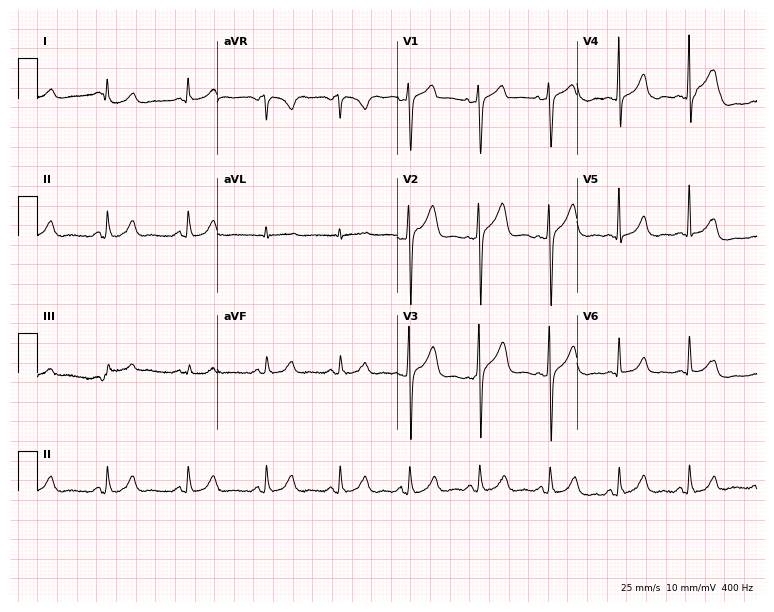
ECG (7.3-second recording at 400 Hz) — a 43-year-old woman. Screened for six findings — first-degree AV block, right bundle branch block (RBBB), left bundle branch block (LBBB), sinus bradycardia, atrial fibrillation (AF), sinus tachycardia — none is recorded. Other findings, if any, are not listed.